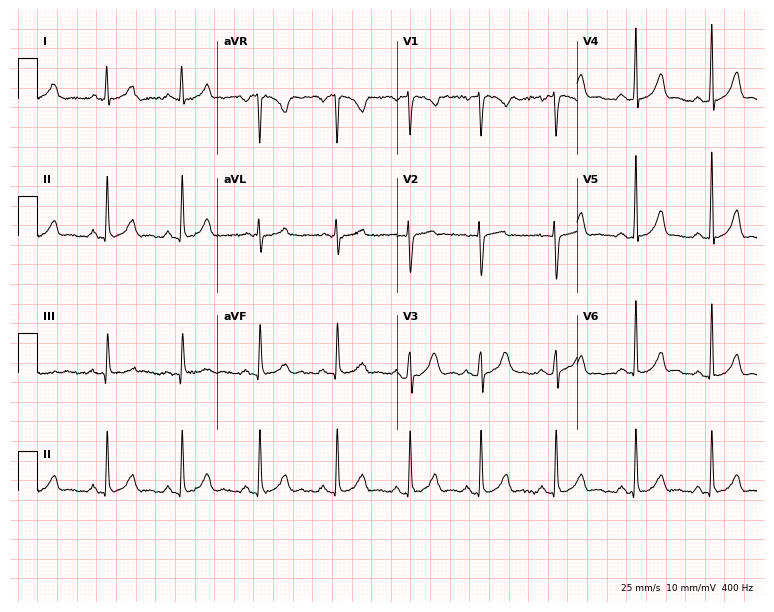
12-lead ECG (7.3-second recording at 400 Hz) from a female patient, 26 years old. Labelled as a normal ECG.